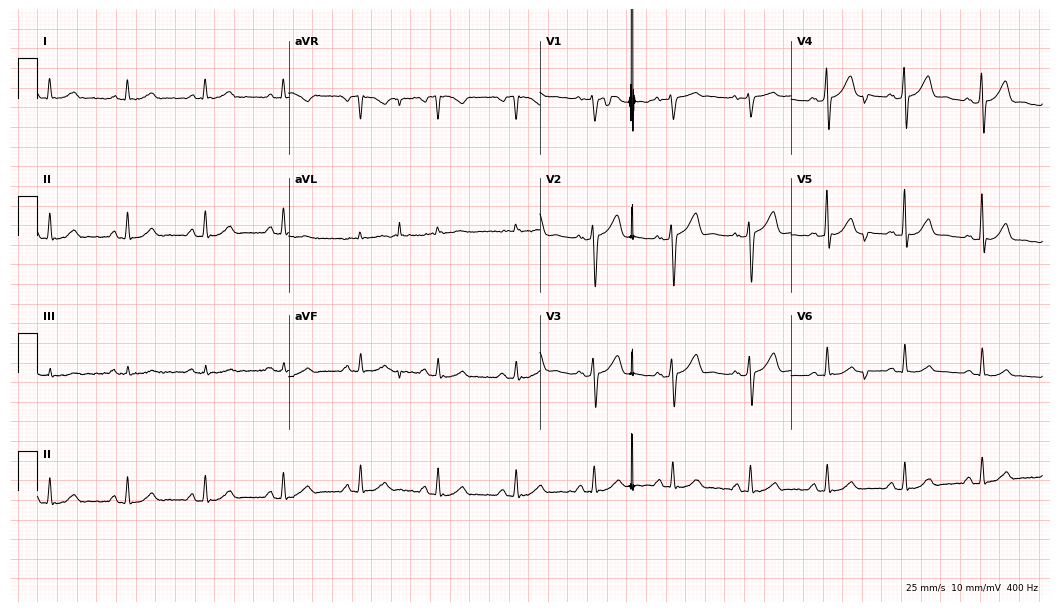
12-lead ECG (10.2-second recording at 400 Hz) from a 54-year-old male patient. Screened for six findings — first-degree AV block, right bundle branch block (RBBB), left bundle branch block (LBBB), sinus bradycardia, atrial fibrillation (AF), sinus tachycardia — none is recorded. Findings outside these six are not listed.